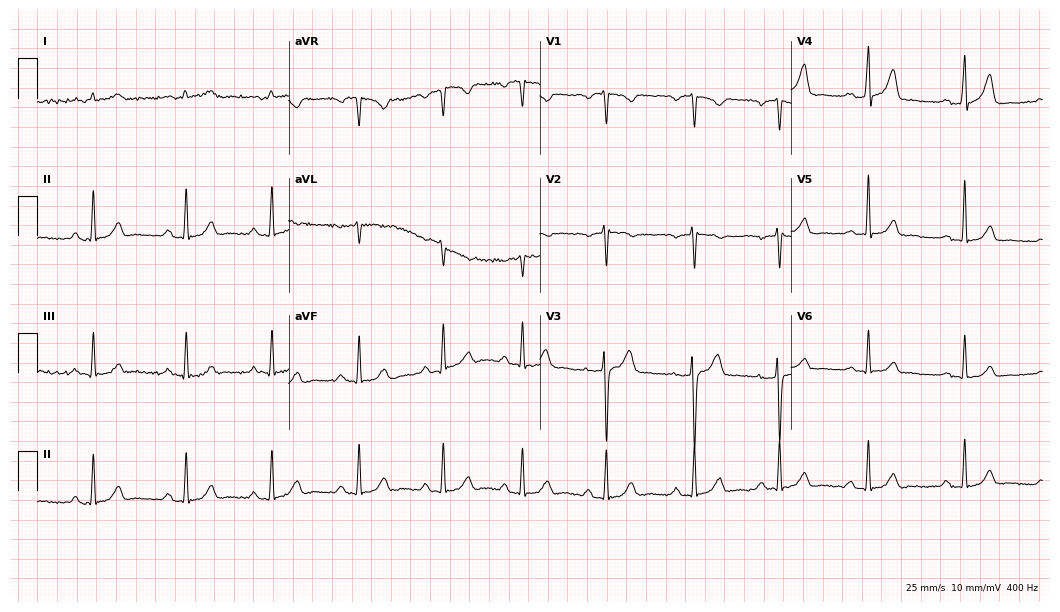
12-lead ECG (10.2-second recording at 400 Hz) from a male patient, 37 years old. Labelled as a normal ECG.